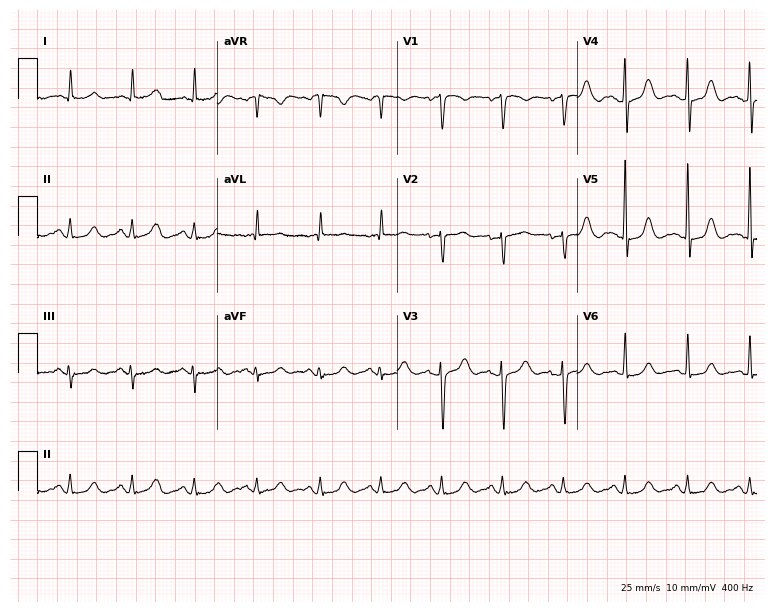
Resting 12-lead electrocardiogram. Patient: a female, 61 years old. Read as a normal ECG.